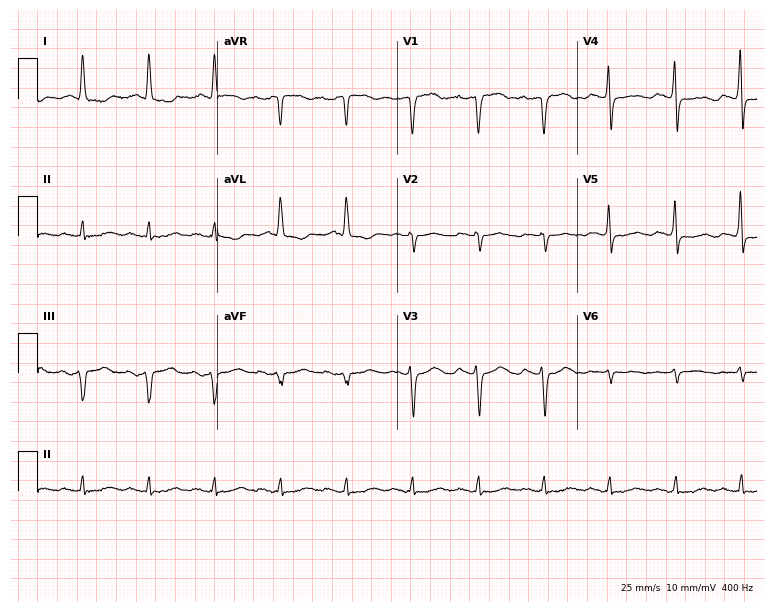
Resting 12-lead electrocardiogram (7.3-second recording at 400 Hz). Patient: a female, 76 years old. None of these six findings is recorded: first-degree AV block, right bundle branch block, left bundle branch block, sinus bradycardia, atrial fibrillation, sinus tachycardia.